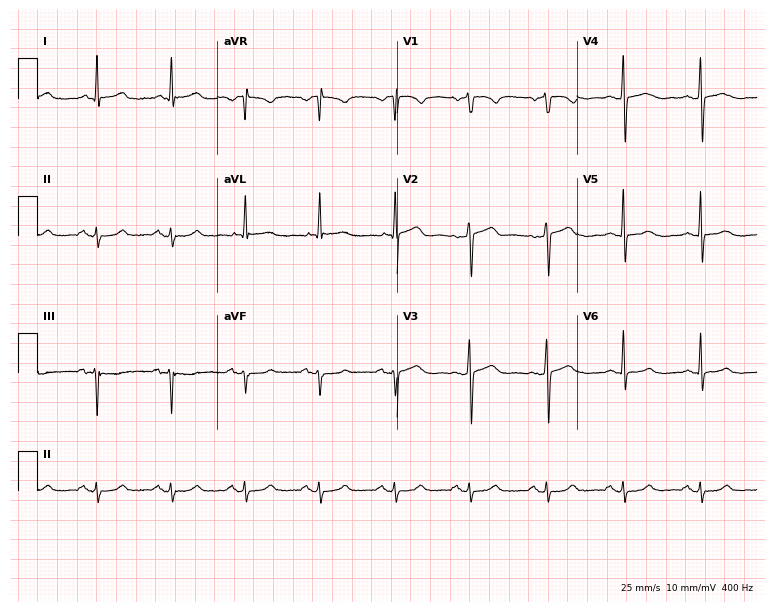
12-lead ECG from a 55-year-old woman. Screened for six findings — first-degree AV block, right bundle branch block (RBBB), left bundle branch block (LBBB), sinus bradycardia, atrial fibrillation (AF), sinus tachycardia — none is recorded.